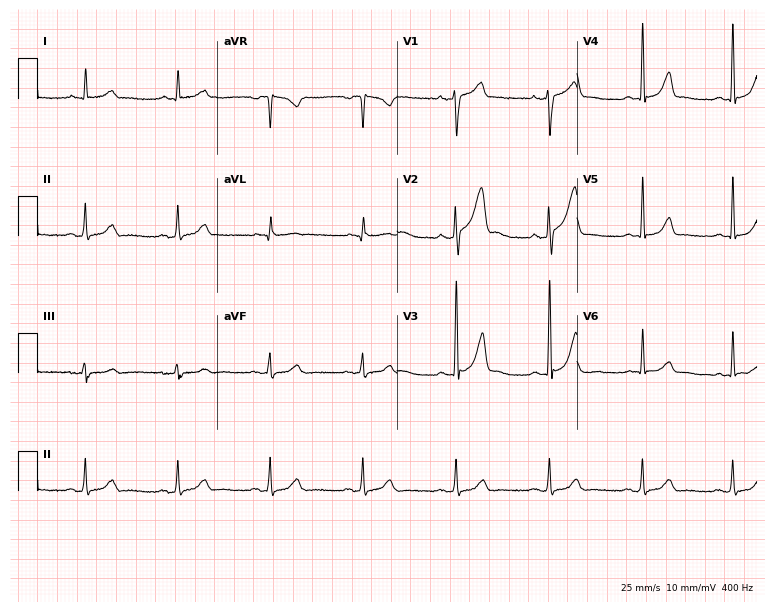
12-lead ECG from a man, 53 years old. Screened for six findings — first-degree AV block, right bundle branch block, left bundle branch block, sinus bradycardia, atrial fibrillation, sinus tachycardia — none is recorded. Only these six findings were labelled.